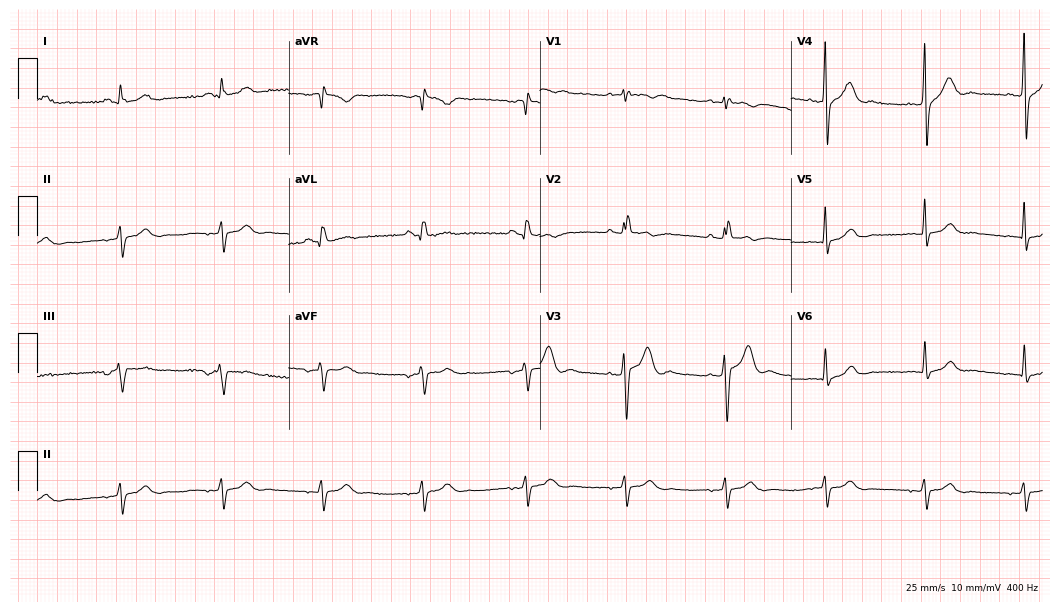
12-lead ECG from a man, 25 years old. No first-degree AV block, right bundle branch block (RBBB), left bundle branch block (LBBB), sinus bradycardia, atrial fibrillation (AF) or sinus tachycardia recorded for this tracing.